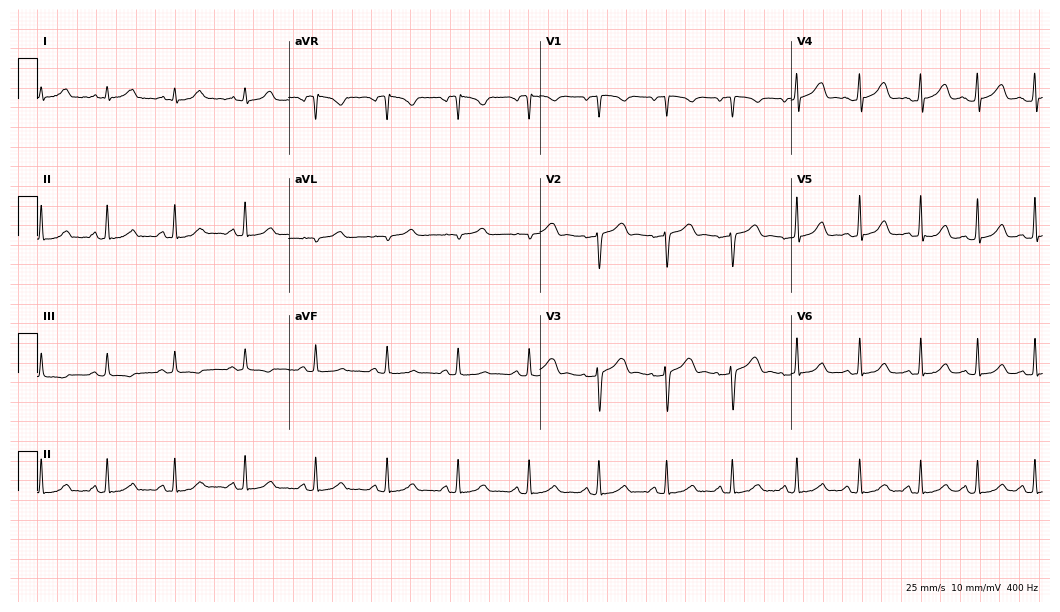
12-lead ECG (10.2-second recording at 400 Hz) from a male, 33 years old. Labelled as a normal ECG.